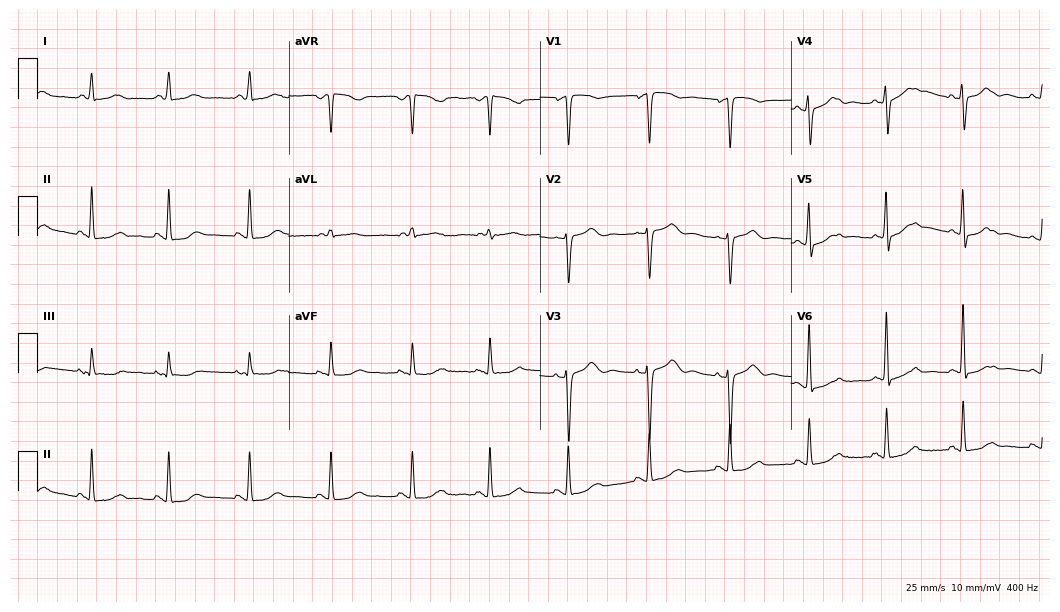
Standard 12-lead ECG recorded from a woman, 67 years old. Read as a normal ECG.